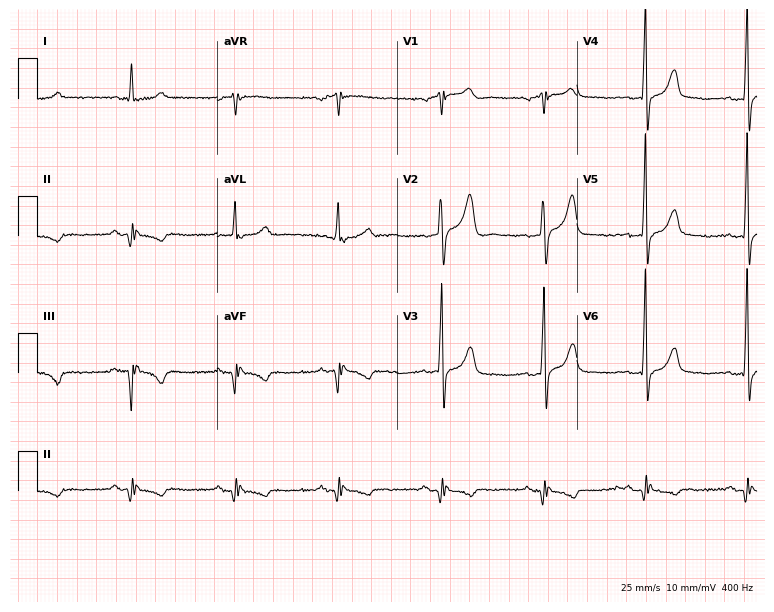
Electrocardiogram (7.3-second recording at 400 Hz), a 75-year-old male patient. Of the six screened findings (first-degree AV block, right bundle branch block, left bundle branch block, sinus bradycardia, atrial fibrillation, sinus tachycardia), none is recorded.